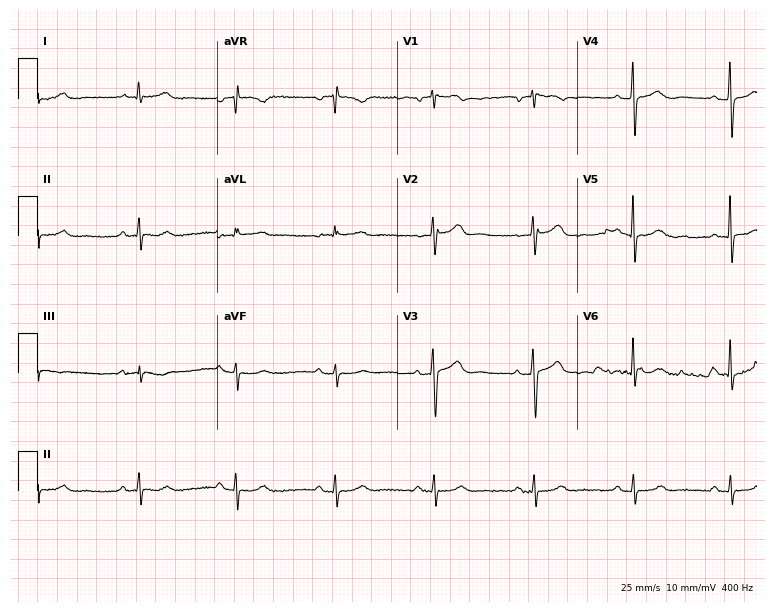
Electrocardiogram (7.3-second recording at 400 Hz), a woman, 73 years old. Of the six screened findings (first-degree AV block, right bundle branch block (RBBB), left bundle branch block (LBBB), sinus bradycardia, atrial fibrillation (AF), sinus tachycardia), none is recorded. Only these six findings were labelled.